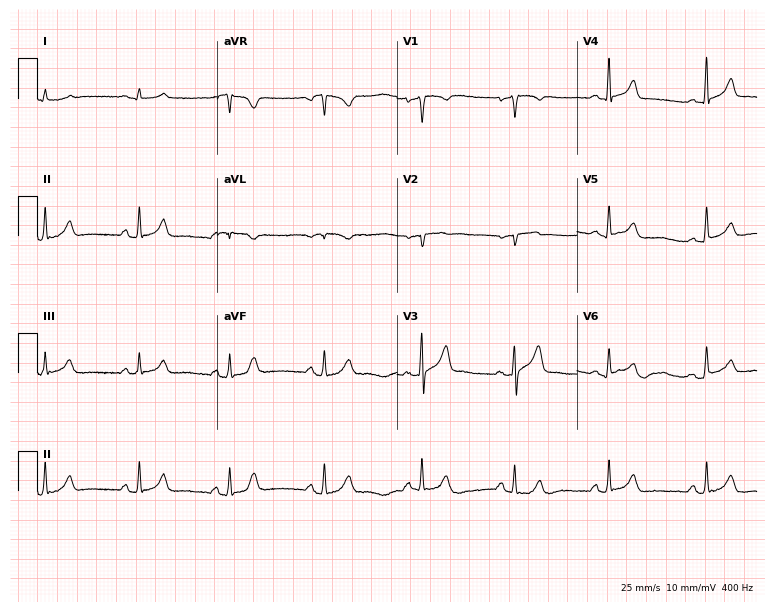
Electrocardiogram (7.3-second recording at 400 Hz), a male patient, 46 years old. Of the six screened findings (first-degree AV block, right bundle branch block, left bundle branch block, sinus bradycardia, atrial fibrillation, sinus tachycardia), none is recorded.